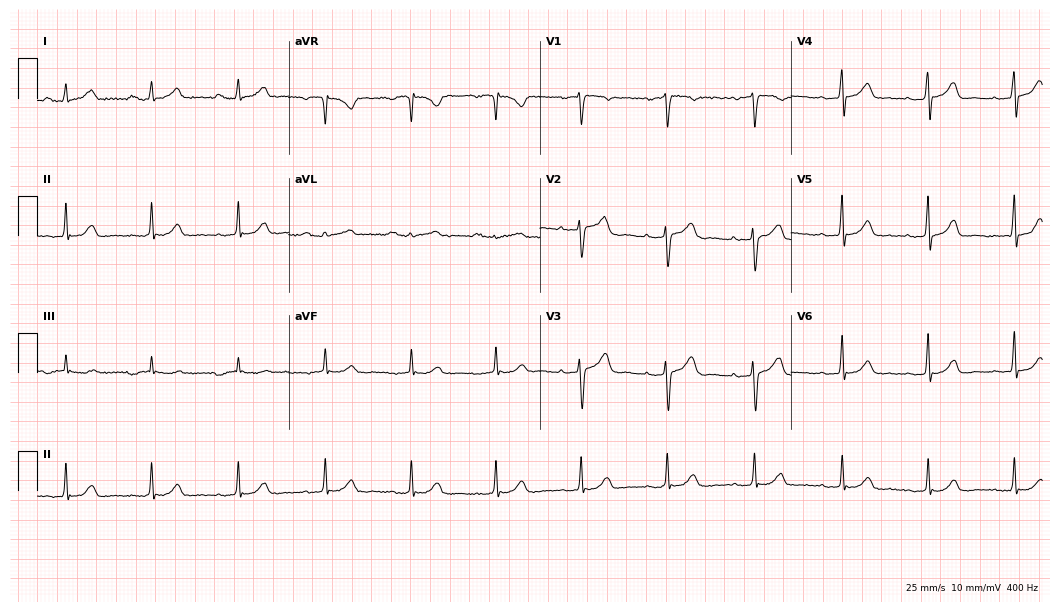
12-lead ECG from a 46-year-old female patient (10.2-second recording at 400 Hz). No first-degree AV block, right bundle branch block (RBBB), left bundle branch block (LBBB), sinus bradycardia, atrial fibrillation (AF) or sinus tachycardia recorded for this tracing.